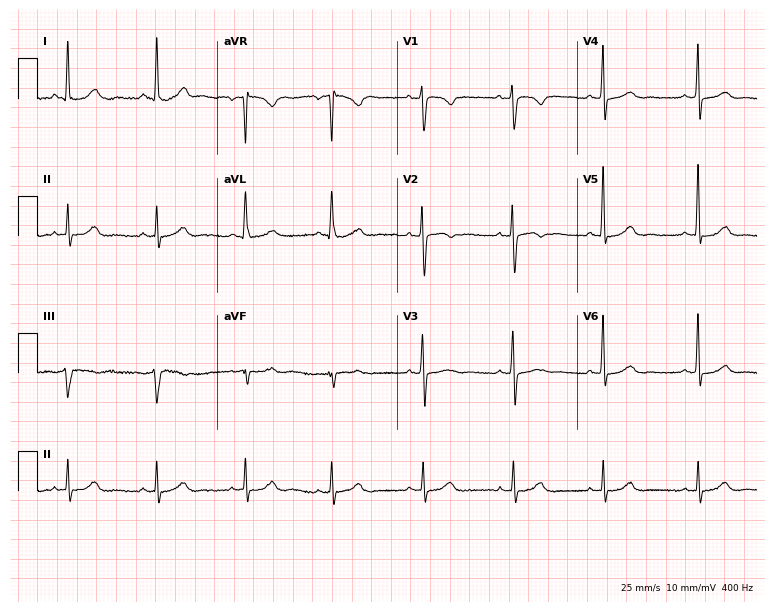
Resting 12-lead electrocardiogram (7.3-second recording at 400 Hz). Patient: a 63-year-old female. None of these six findings is recorded: first-degree AV block, right bundle branch block, left bundle branch block, sinus bradycardia, atrial fibrillation, sinus tachycardia.